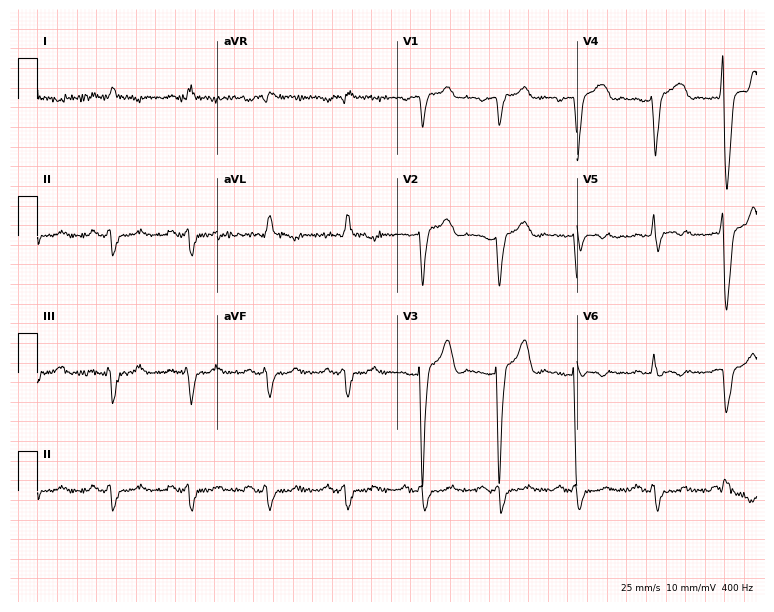
12-lead ECG (7.3-second recording at 400 Hz) from a 62-year-old male. Findings include left bundle branch block.